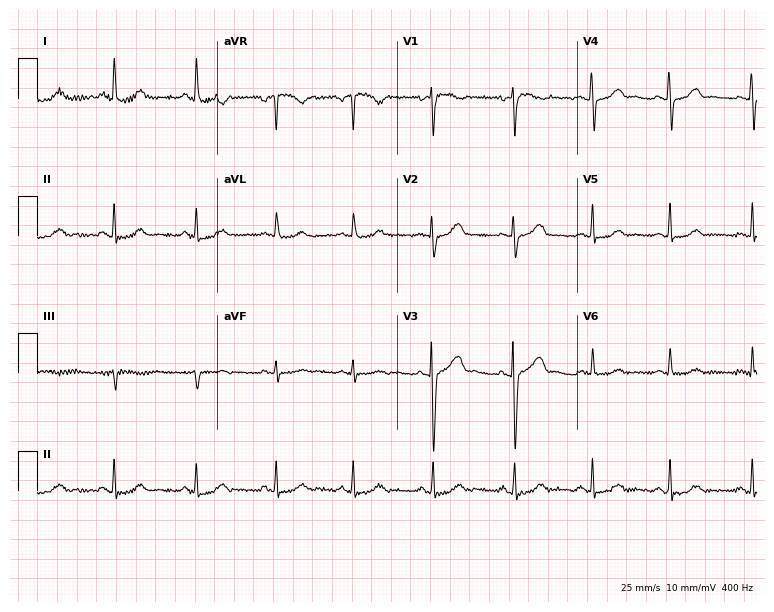
ECG — a 38-year-old female patient. Screened for six findings — first-degree AV block, right bundle branch block, left bundle branch block, sinus bradycardia, atrial fibrillation, sinus tachycardia — none is recorded.